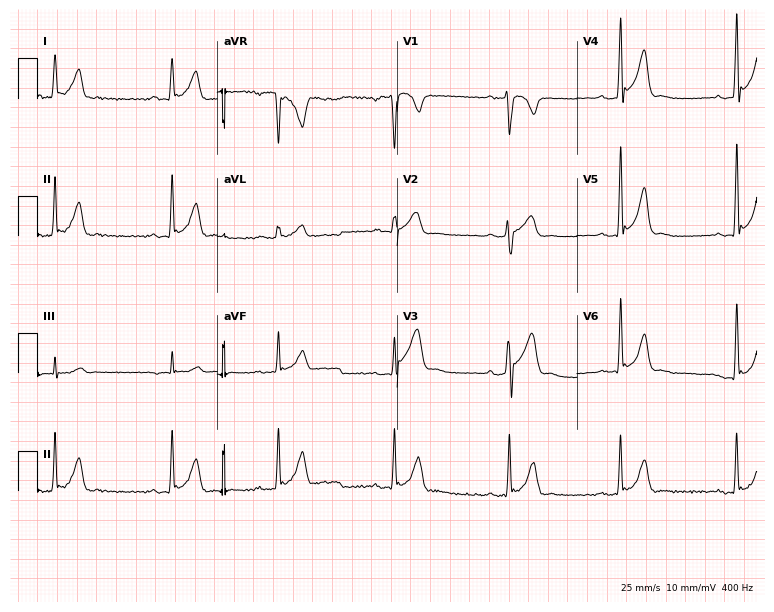
12-lead ECG from a male, 20 years old. Screened for six findings — first-degree AV block, right bundle branch block, left bundle branch block, sinus bradycardia, atrial fibrillation, sinus tachycardia — none is recorded. Only these six findings were labelled.